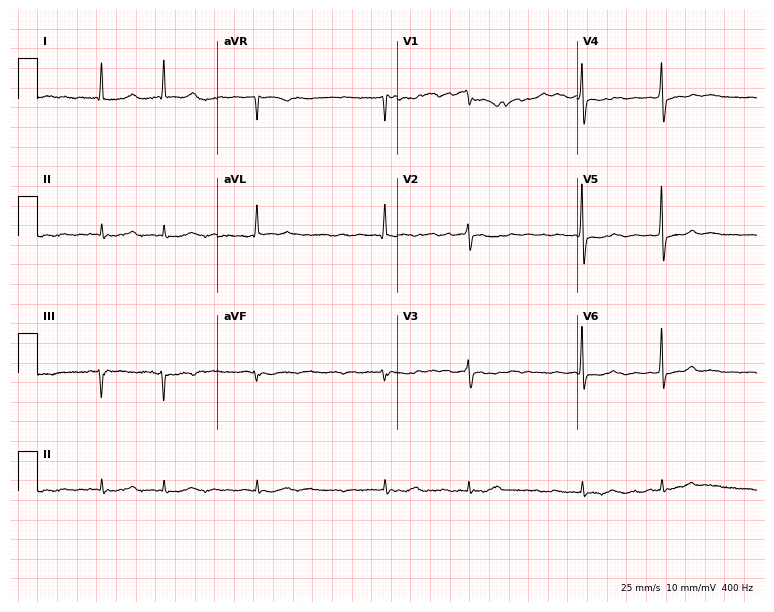
Standard 12-lead ECG recorded from a female patient, 72 years old (7.3-second recording at 400 Hz). The tracing shows atrial fibrillation.